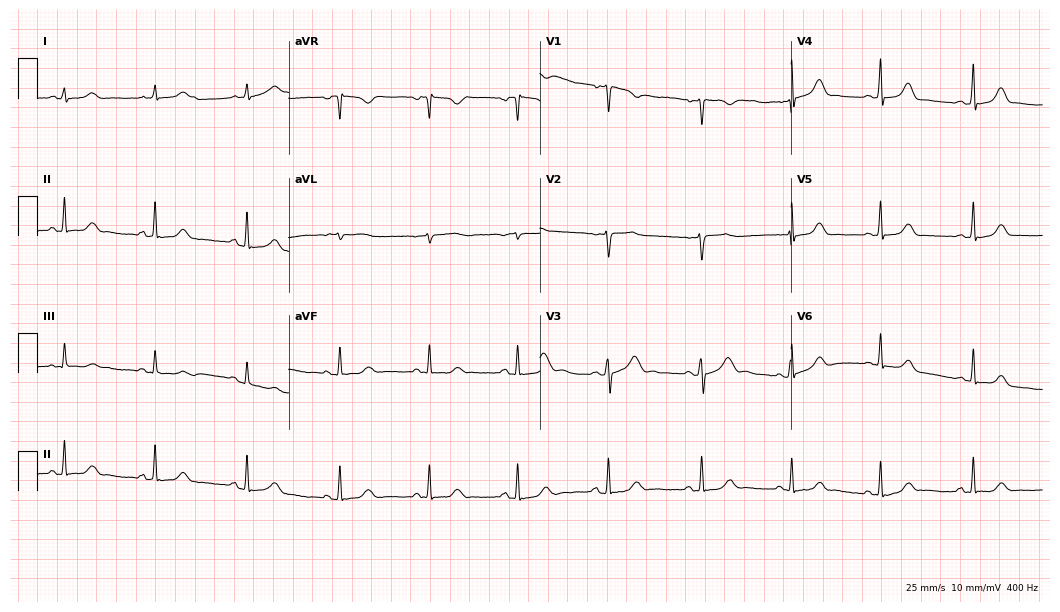
12-lead ECG from a 27-year-old woman. No first-degree AV block, right bundle branch block (RBBB), left bundle branch block (LBBB), sinus bradycardia, atrial fibrillation (AF) or sinus tachycardia recorded for this tracing.